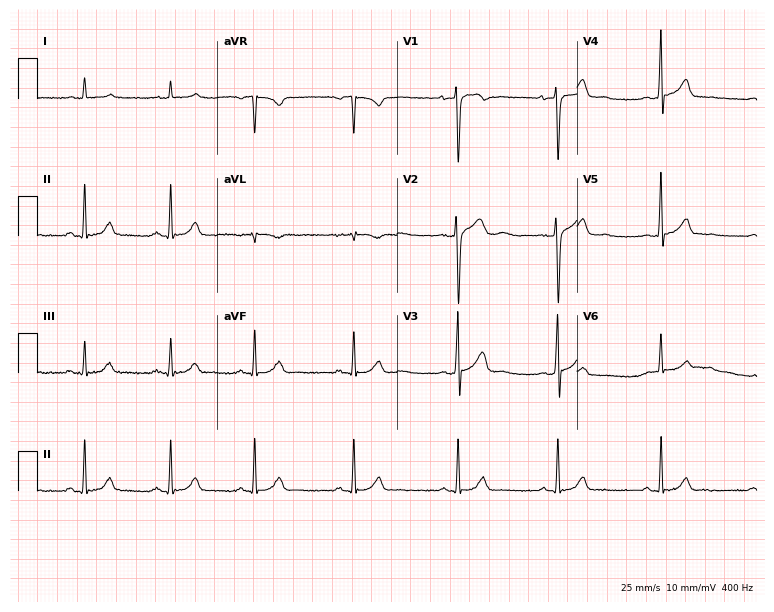
12-lead ECG (7.3-second recording at 400 Hz) from a man, 28 years old. Labelled as a normal ECG.